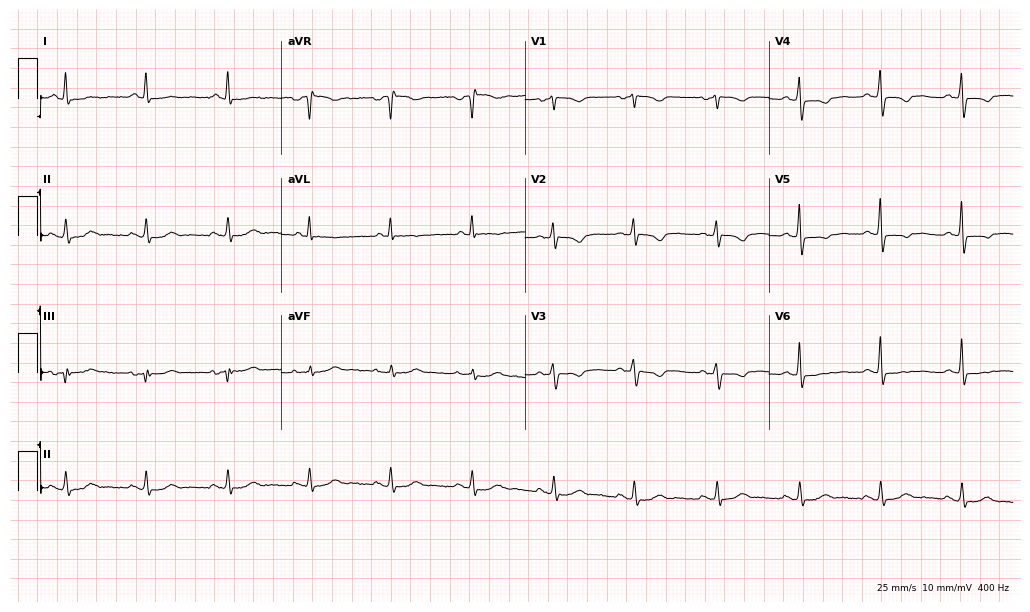
12-lead ECG from a 52-year-old female patient (9.9-second recording at 400 Hz). No first-degree AV block, right bundle branch block, left bundle branch block, sinus bradycardia, atrial fibrillation or sinus tachycardia recorded for this tracing. Findings outside these six are not listed.